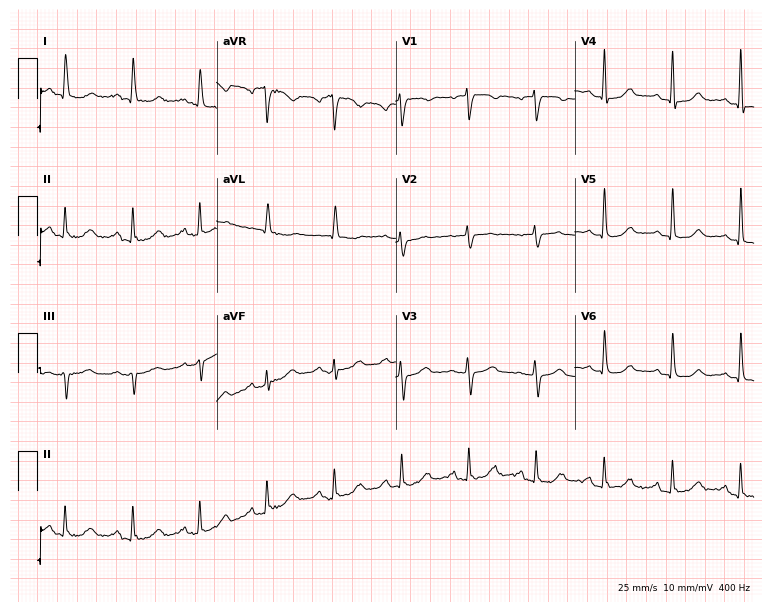
12-lead ECG from a female patient, 72 years old. Labelled as a normal ECG.